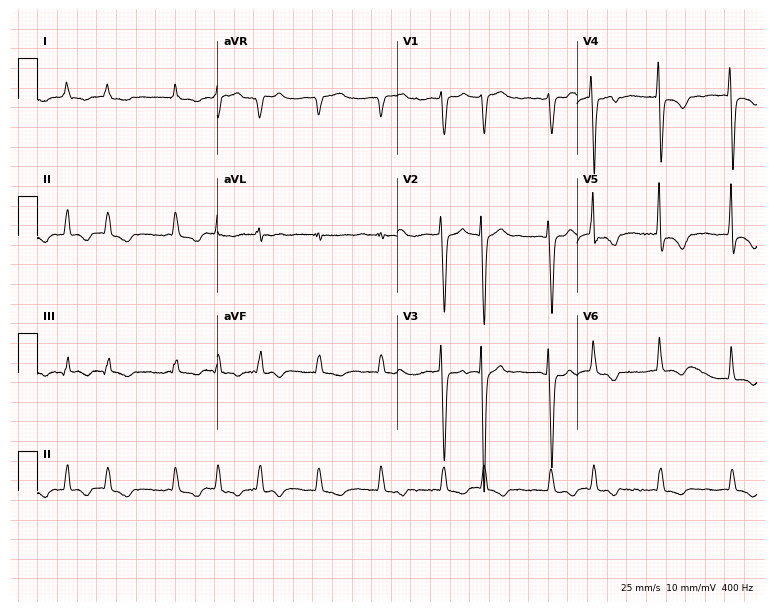
12-lead ECG from a 76-year-old female. Findings include atrial fibrillation.